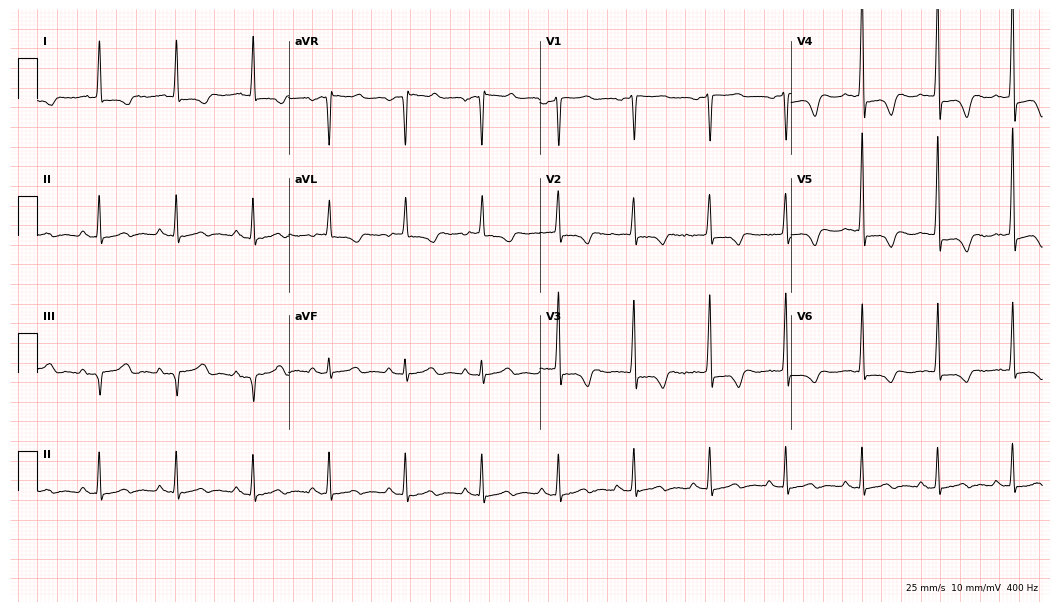
Electrocardiogram (10.2-second recording at 400 Hz), a 79-year-old female. Of the six screened findings (first-degree AV block, right bundle branch block, left bundle branch block, sinus bradycardia, atrial fibrillation, sinus tachycardia), none is recorded. Only these six findings were labelled.